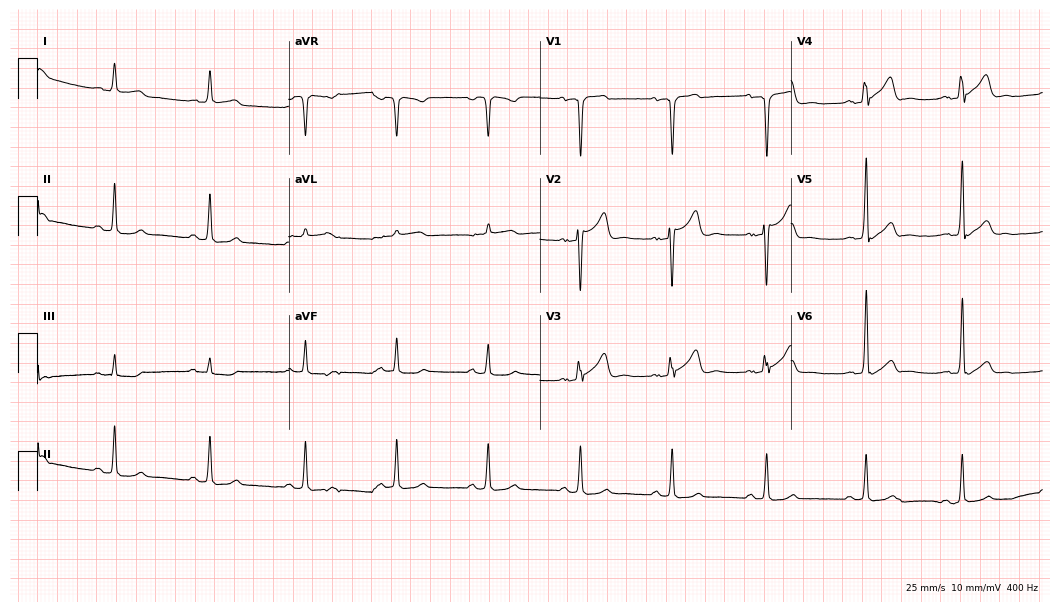
Standard 12-lead ECG recorded from a 39-year-old male patient (10.2-second recording at 400 Hz). None of these six findings is recorded: first-degree AV block, right bundle branch block (RBBB), left bundle branch block (LBBB), sinus bradycardia, atrial fibrillation (AF), sinus tachycardia.